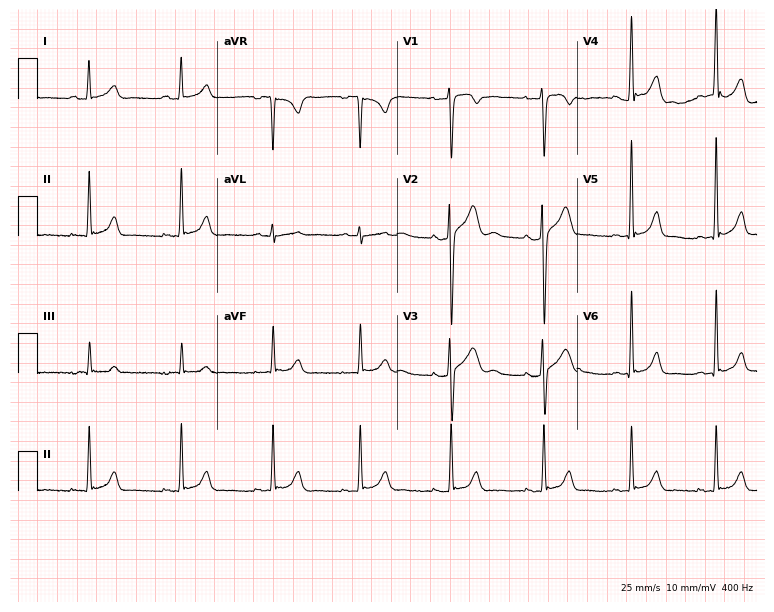
ECG (7.3-second recording at 400 Hz) — a 20-year-old male. Labelled as a normal ECG.